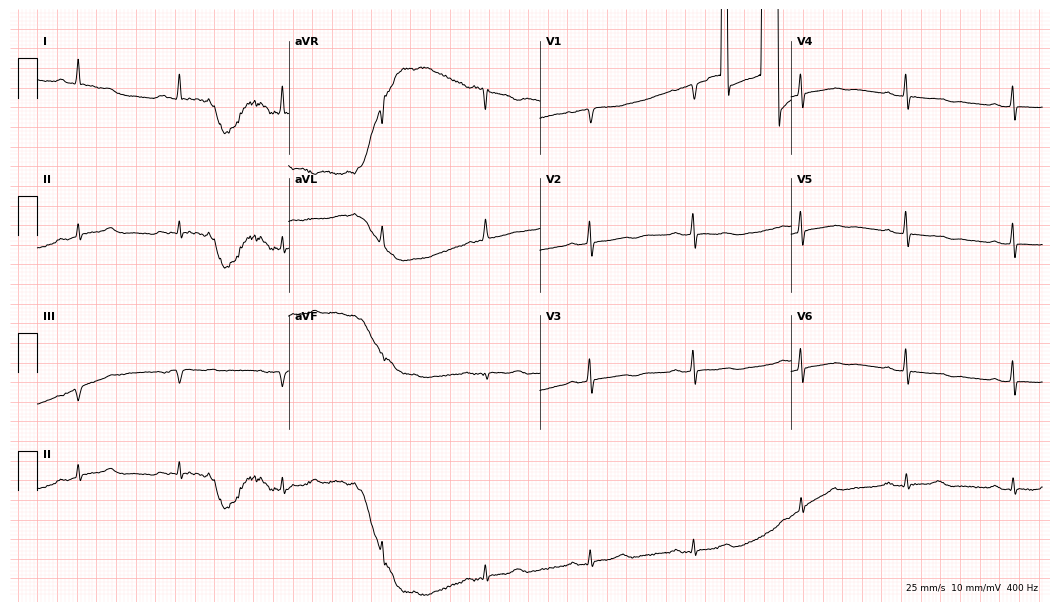
Electrocardiogram (10.2-second recording at 400 Hz), a 71-year-old woman. Of the six screened findings (first-degree AV block, right bundle branch block, left bundle branch block, sinus bradycardia, atrial fibrillation, sinus tachycardia), none is recorded.